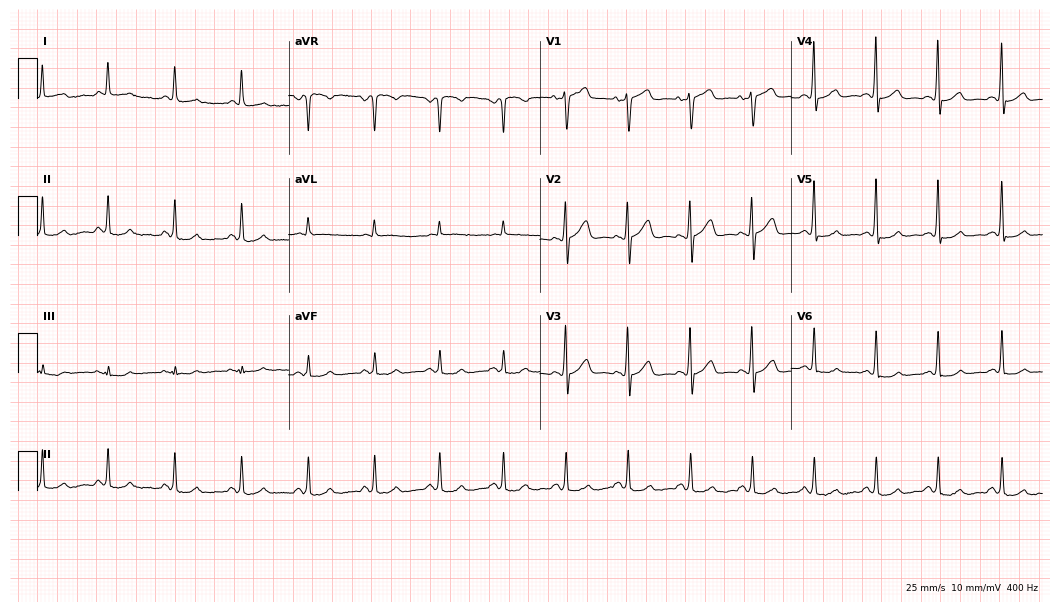
12-lead ECG from a 66-year-old man. No first-degree AV block, right bundle branch block (RBBB), left bundle branch block (LBBB), sinus bradycardia, atrial fibrillation (AF) or sinus tachycardia recorded for this tracing. Other findings, if any, are not listed.